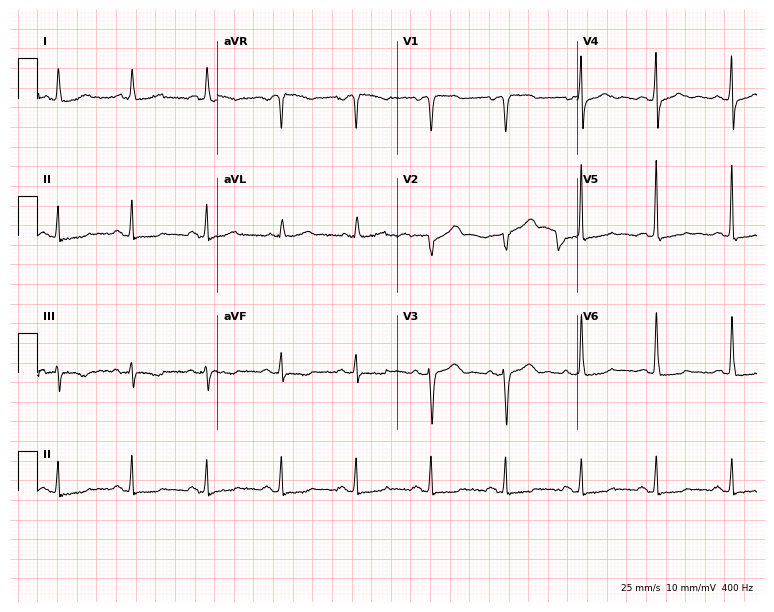
12-lead ECG from a 70-year-old female patient. Screened for six findings — first-degree AV block, right bundle branch block, left bundle branch block, sinus bradycardia, atrial fibrillation, sinus tachycardia — none is recorded.